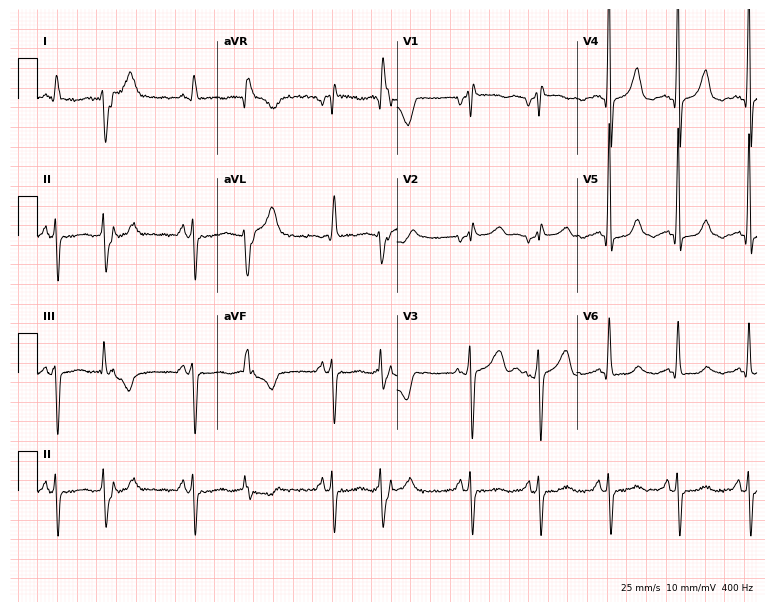
Resting 12-lead electrocardiogram. Patient: a male, 68 years old. None of these six findings is recorded: first-degree AV block, right bundle branch block, left bundle branch block, sinus bradycardia, atrial fibrillation, sinus tachycardia.